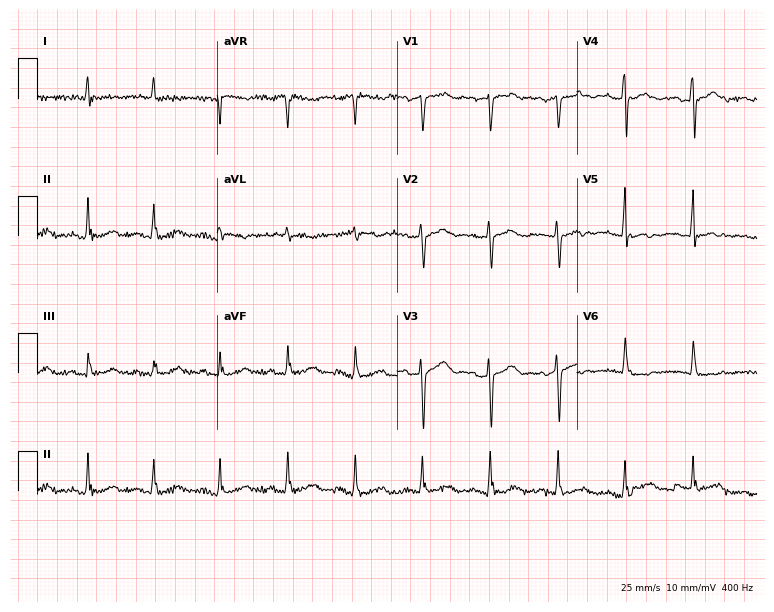
ECG (7.3-second recording at 400 Hz) — an 85-year-old female. Screened for six findings — first-degree AV block, right bundle branch block, left bundle branch block, sinus bradycardia, atrial fibrillation, sinus tachycardia — none is recorded.